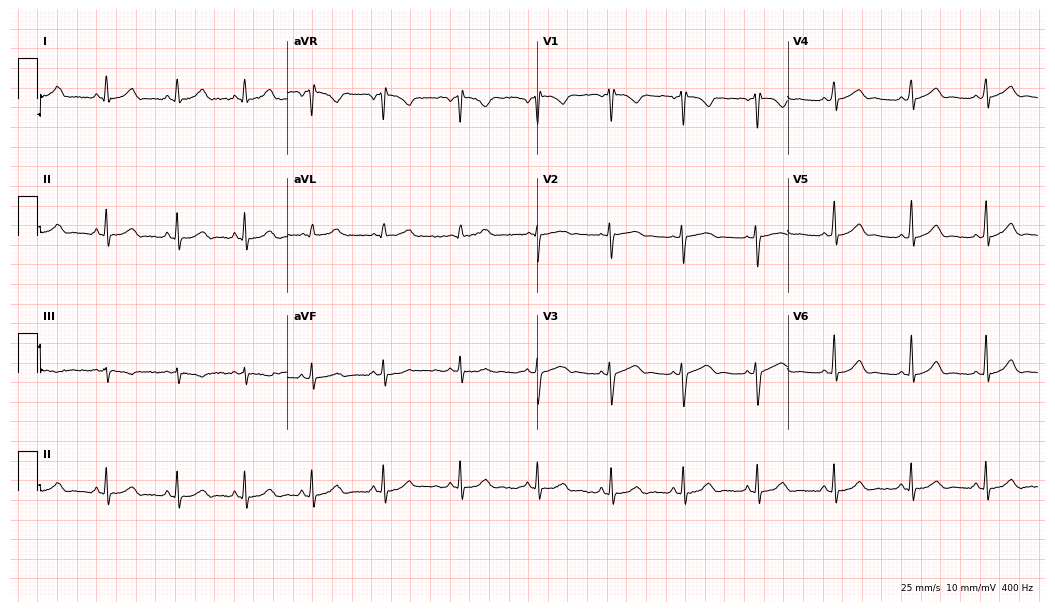
Standard 12-lead ECG recorded from a woman, 19 years old (10.2-second recording at 400 Hz). Read as a normal ECG.